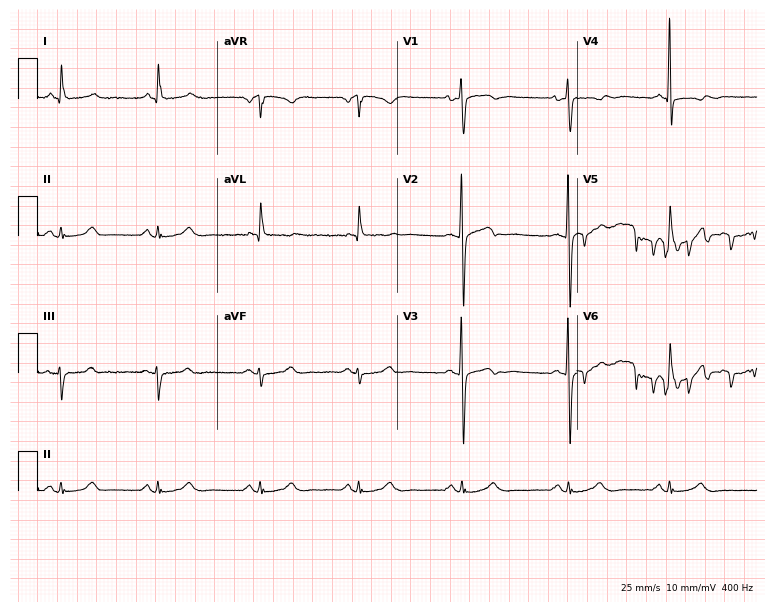
ECG — a woman, 78 years old. Labelled as a normal ECG.